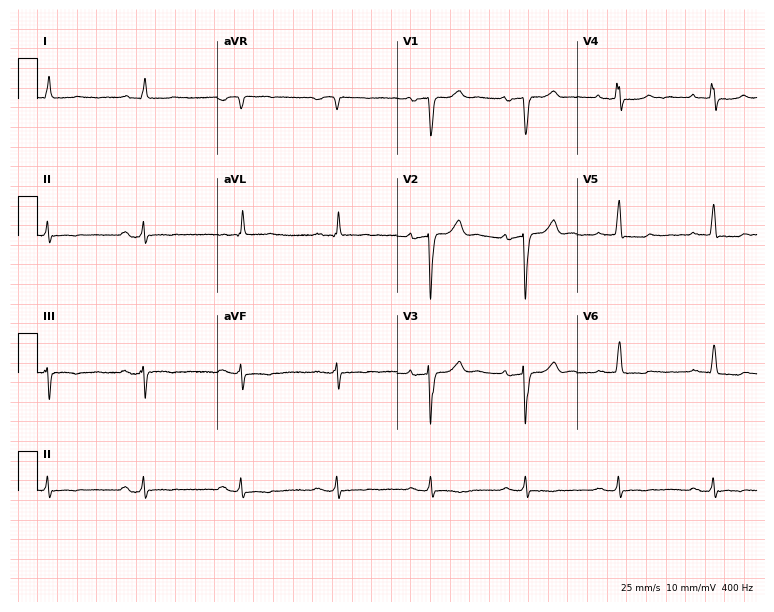
ECG — a man, 48 years old. Screened for six findings — first-degree AV block, right bundle branch block (RBBB), left bundle branch block (LBBB), sinus bradycardia, atrial fibrillation (AF), sinus tachycardia — none is recorded. Other findings, if any, are not listed.